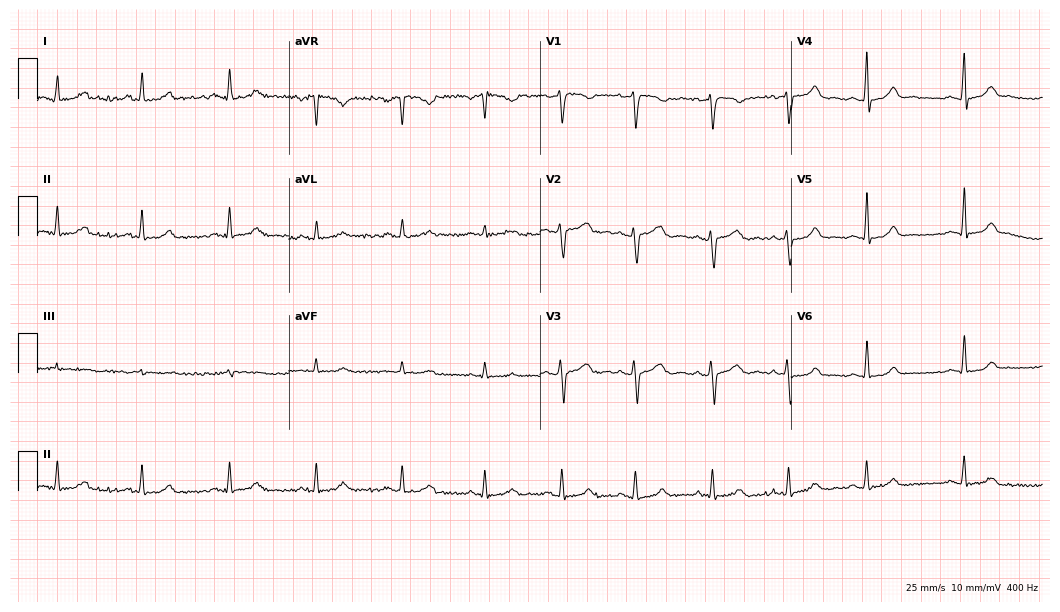
Electrocardiogram, a woman, 27 years old. Overall reading on record: normal ECG.